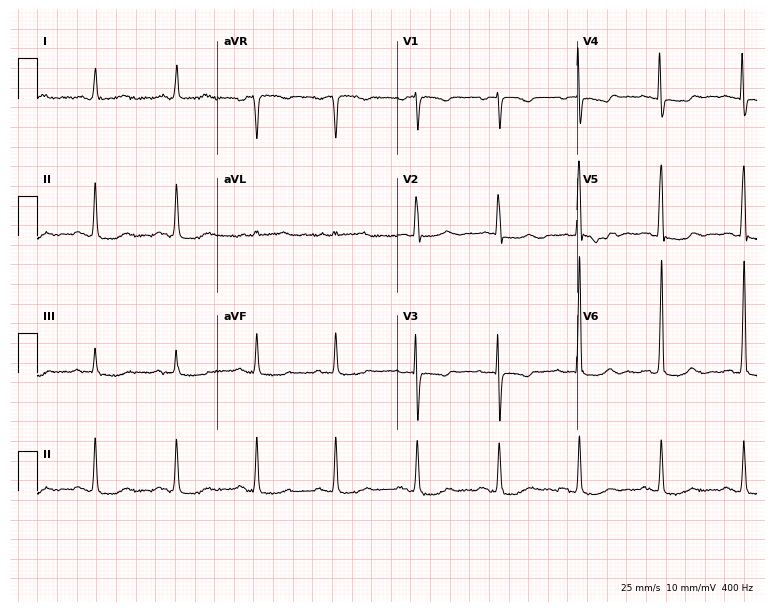
12-lead ECG from a woman, 76 years old (7.3-second recording at 400 Hz). No first-degree AV block, right bundle branch block (RBBB), left bundle branch block (LBBB), sinus bradycardia, atrial fibrillation (AF) or sinus tachycardia recorded for this tracing.